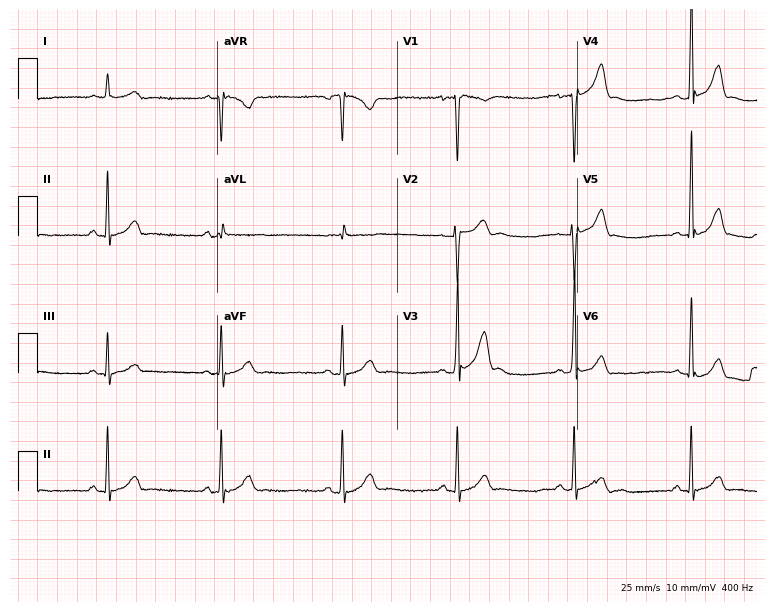
12-lead ECG from a 25-year-old man. Screened for six findings — first-degree AV block, right bundle branch block, left bundle branch block, sinus bradycardia, atrial fibrillation, sinus tachycardia — none is recorded.